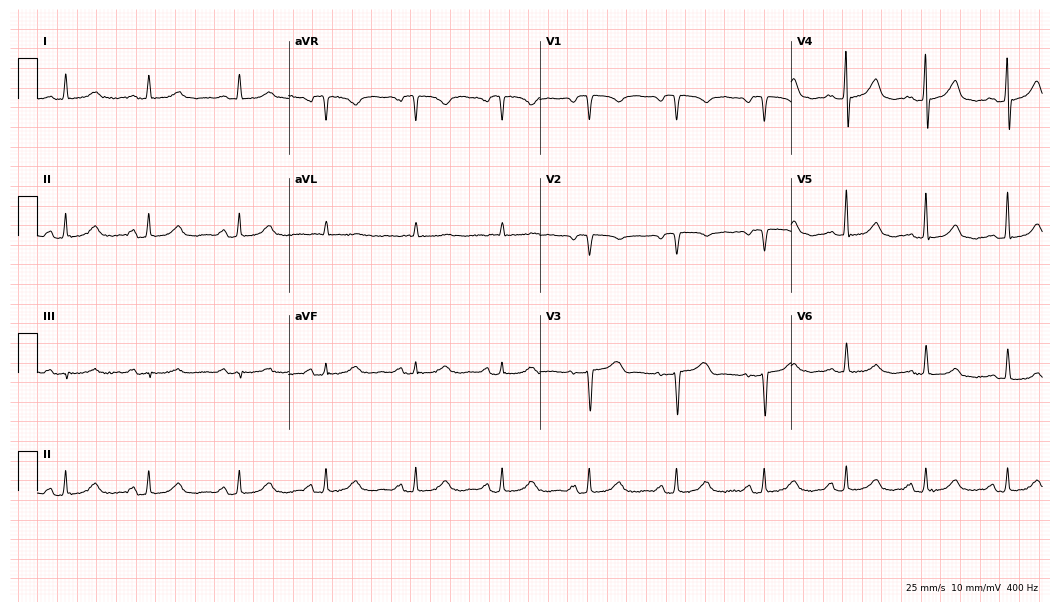
Resting 12-lead electrocardiogram. Patient: a 70-year-old female. Read as a normal ECG.